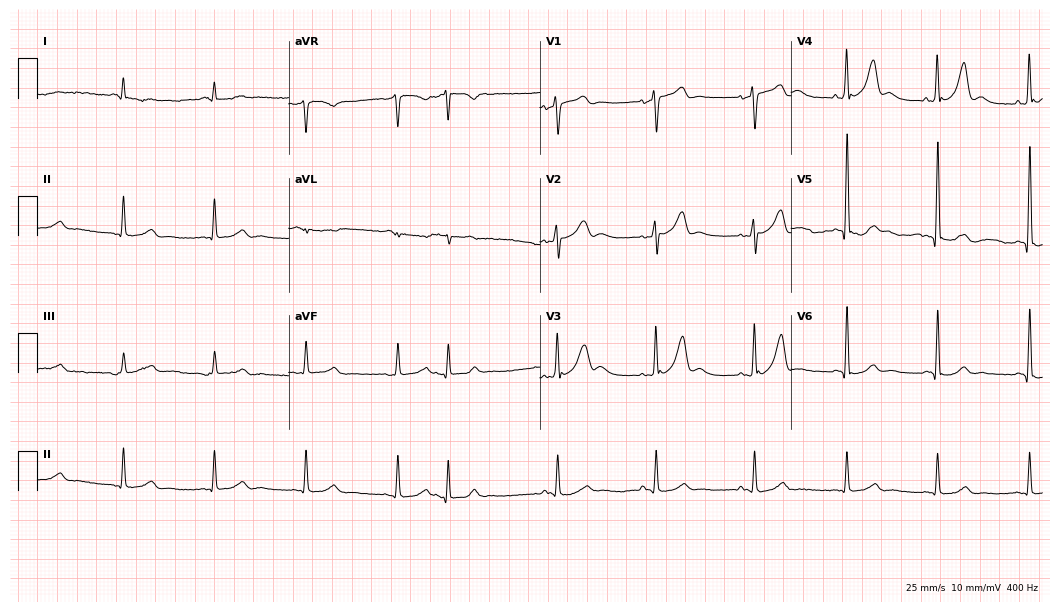
12-lead ECG from a 76-year-old man. No first-degree AV block, right bundle branch block, left bundle branch block, sinus bradycardia, atrial fibrillation or sinus tachycardia recorded for this tracing. Findings outside these six are not listed.